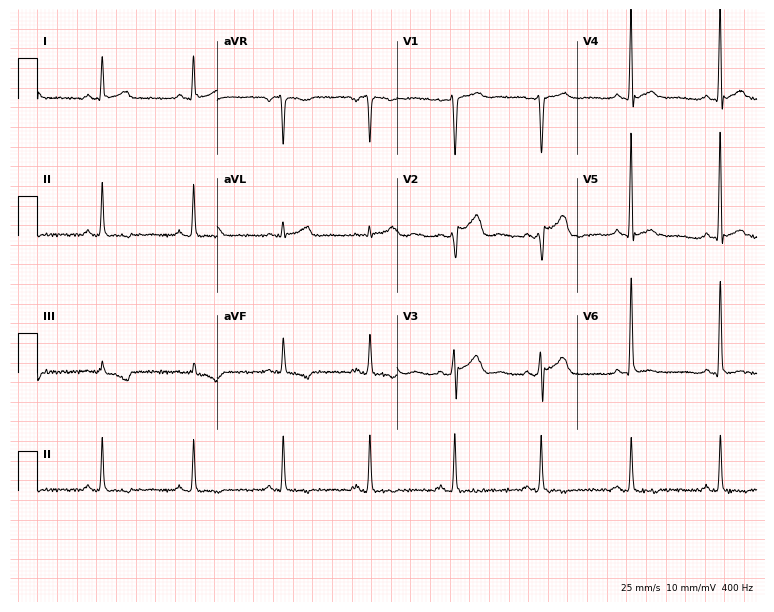
Standard 12-lead ECG recorded from a man, 50 years old (7.3-second recording at 400 Hz). None of these six findings is recorded: first-degree AV block, right bundle branch block, left bundle branch block, sinus bradycardia, atrial fibrillation, sinus tachycardia.